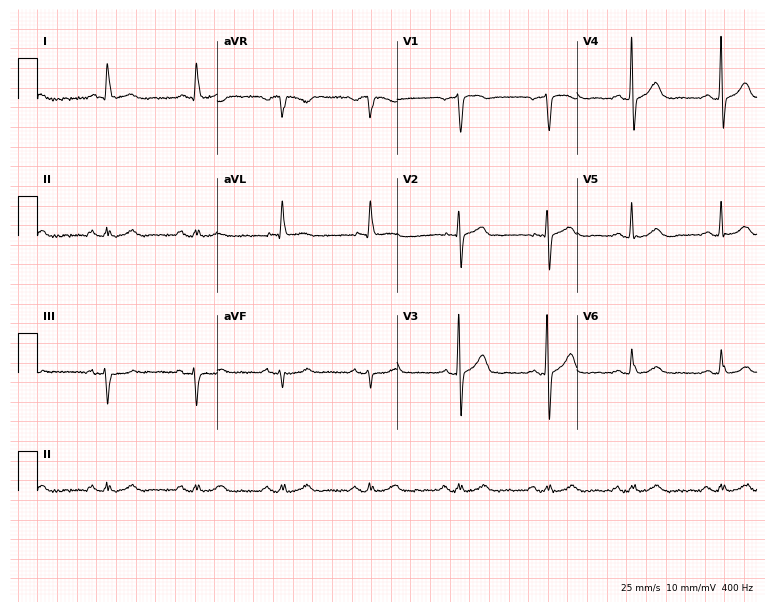
12-lead ECG (7.3-second recording at 400 Hz) from a 77-year-old male patient. Labelled as a normal ECG.